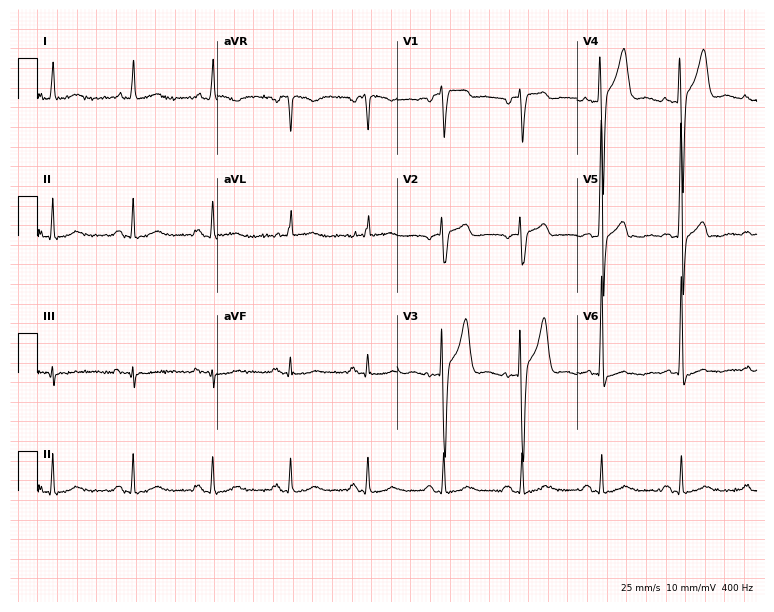
Electrocardiogram (7.3-second recording at 400 Hz), a 72-year-old male. Of the six screened findings (first-degree AV block, right bundle branch block (RBBB), left bundle branch block (LBBB), sinus bradycardia, atrial fibrillation (AF), sinus tachycardia), none is recorded. Only these six findings were labelled.